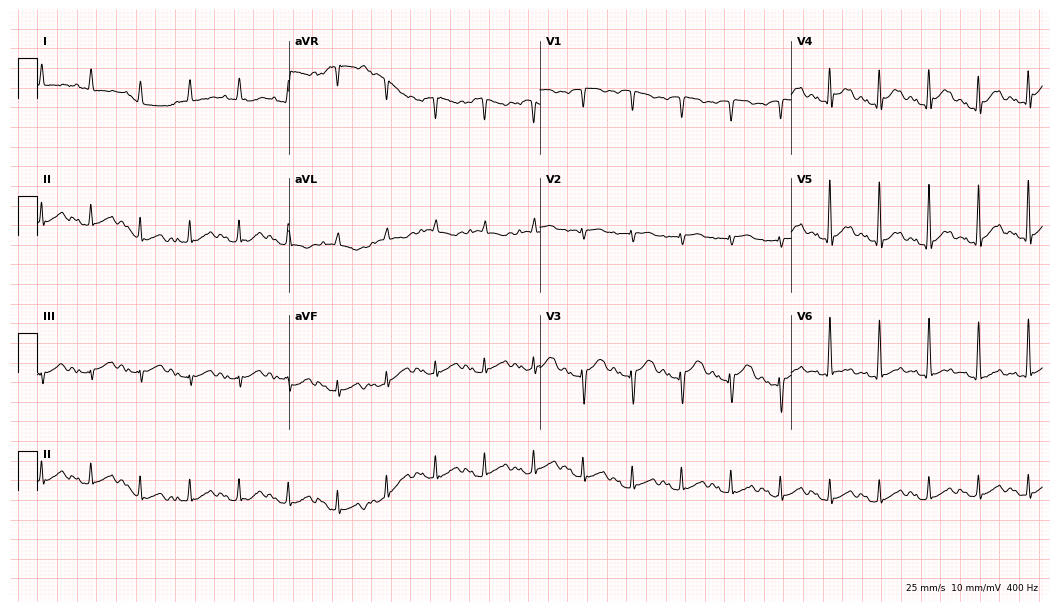
Standard 12-lead ECG recorded from a man, 76 years old. The tracing shows sinus tachycardia (a sinus rate of 100 beats per minute or more).